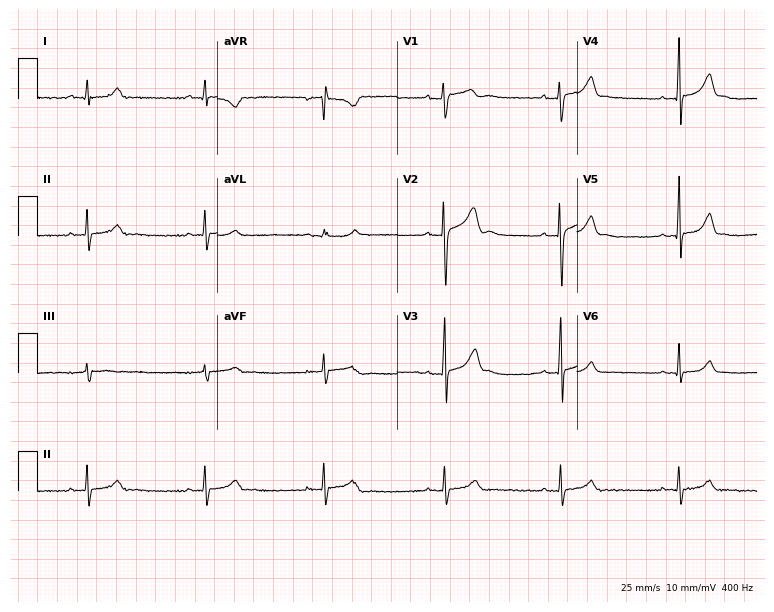
ECG (7.3-second recording at 400 Hz) — a 21-year-old man. Findings include sinus bradycardia (a sinus rate of 50 beats per minute or less).